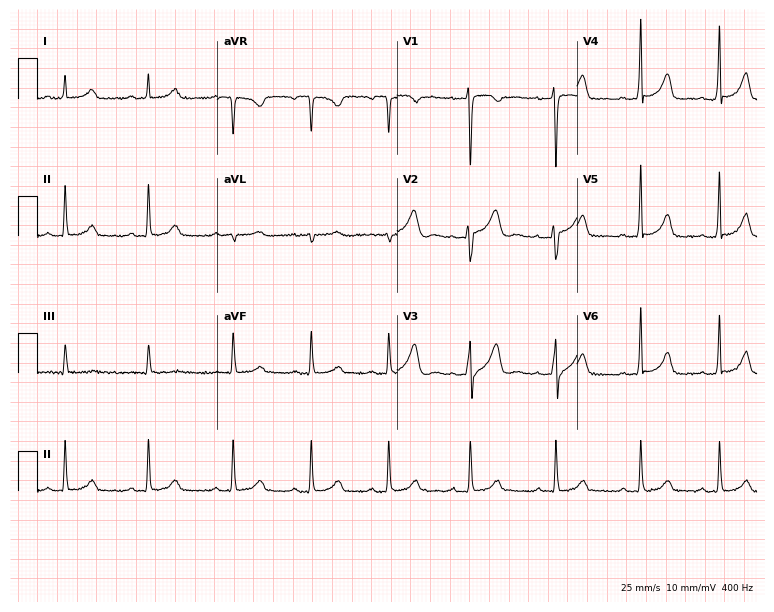
12-lead ECG from a woman, 36 years old. Screened for six findings — first-degree AV block, right bundle branch block (RBBB), left bundle branch block (LBBB), sinus bradycardia, atrial fibrillation (AF), sinus tachycardia — none is recorded. Findings outside these six are not listed.